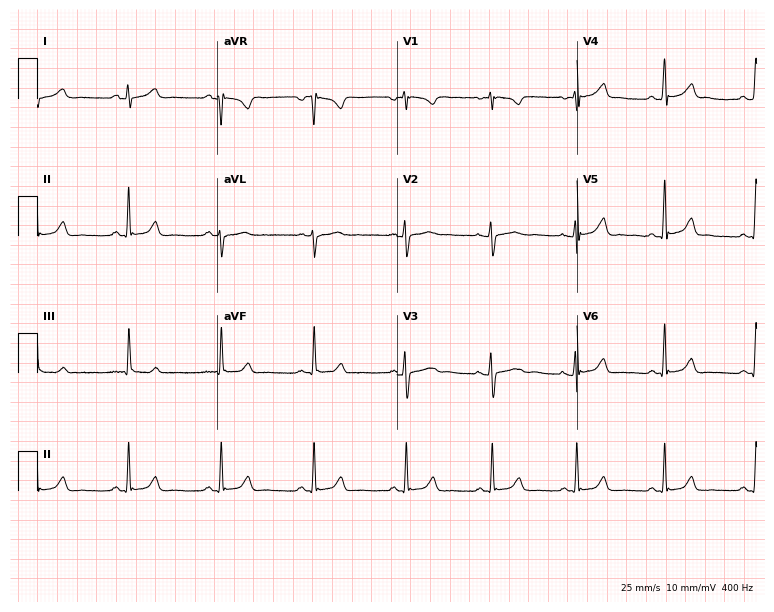
Electrocardiogram (7.3-second recording at 400 Hz), a female, 23 years old. Of the six screened findings (first-degree AV block, right bundle branch block (RBBB), left bundle branch block (LBBB), sinus bradycardia, atrial fibrillation (AF), sinus tachycardia), none is recorded. Findings outside these six are not listed.